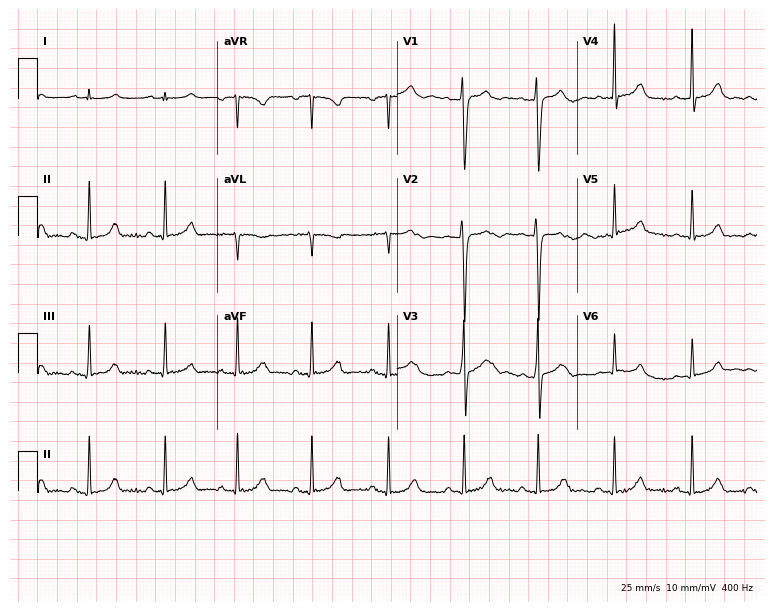
Standard 12-lead ECG recorded from a male patient, 19 years old (7.3-second recording at 400 Hz). Read as a normal ECG.